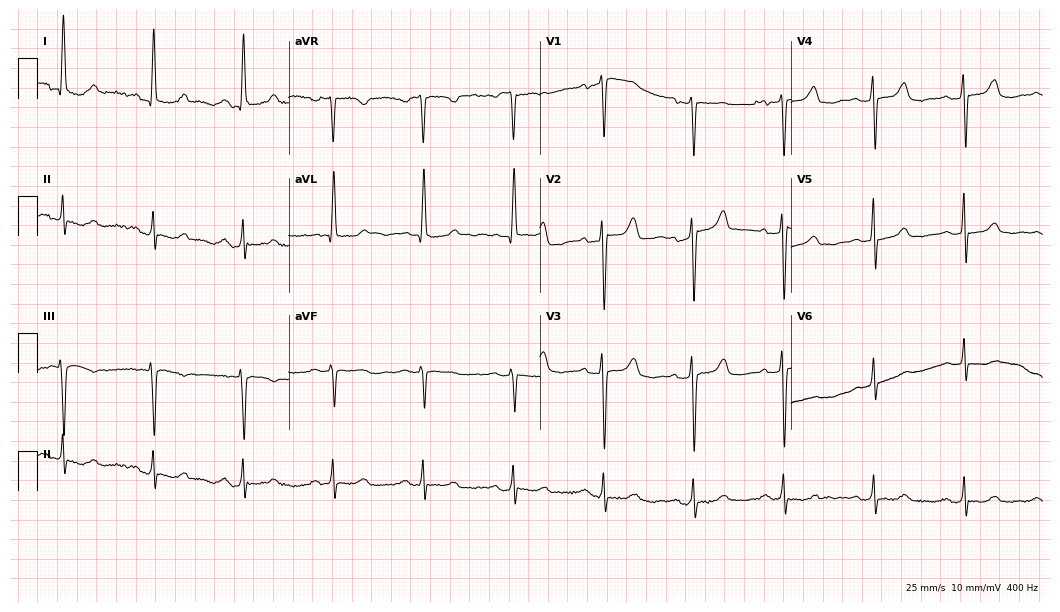
Electrocardiogram (10.2-second recording at 400 Hz), a 71-year-old female patient. Interpretation includes first-degree AV block.